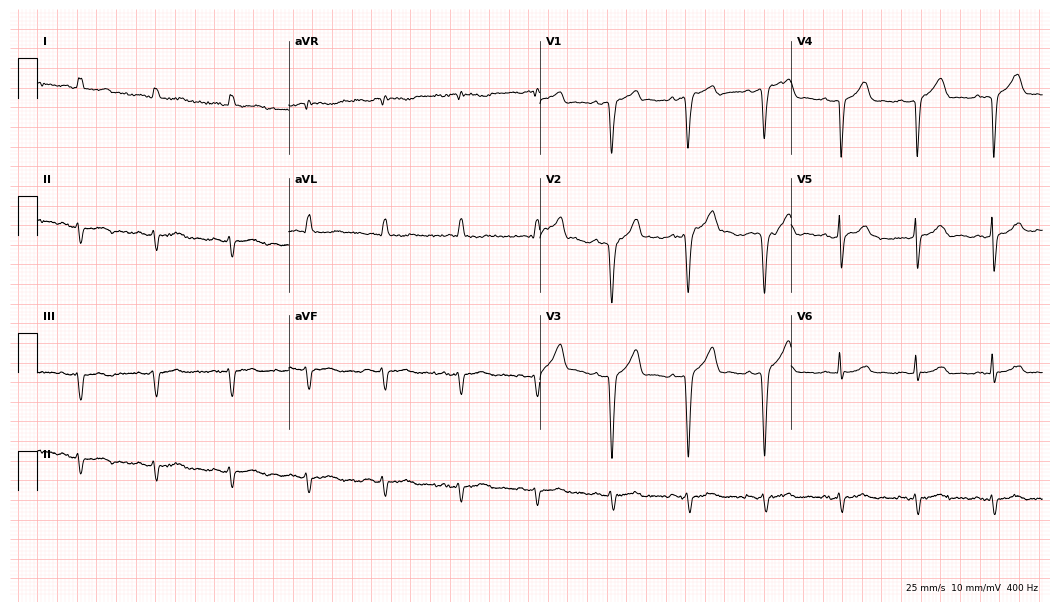
12-lead ECG from a male patient, 74 years old. No first-degree AV block, right bundle branch block, left bundle branch block, sinus bradycardia, atrial fibrillation or sinus tachycardia recorded for this tracing. Findings outside these six are not listed.